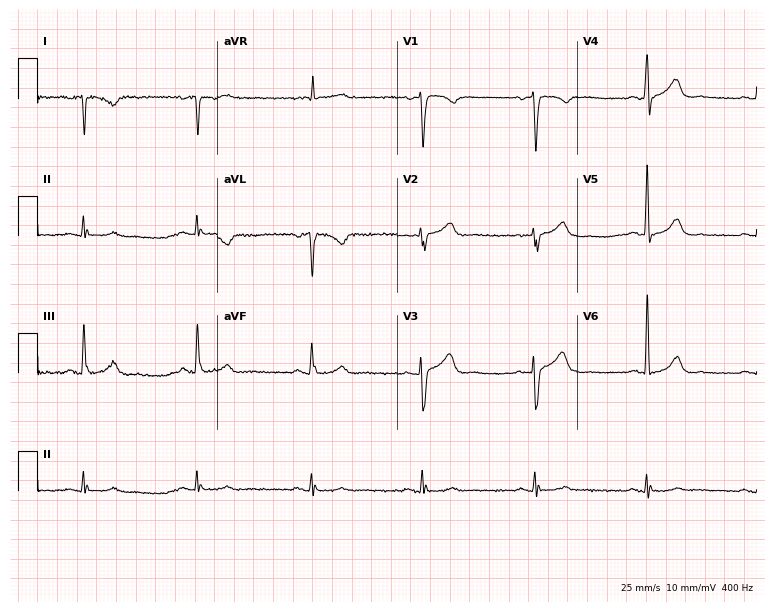
Resting 12-lead electrocardiogram (7.3-second recording at 400 Hz). Patient: a 51-year-old male. None of these six findings is recorded: first-degree AV block, right bundle branch block, left bundle branch block, sinus bradycardia, atrial fibrillation, sinus tachycardia.